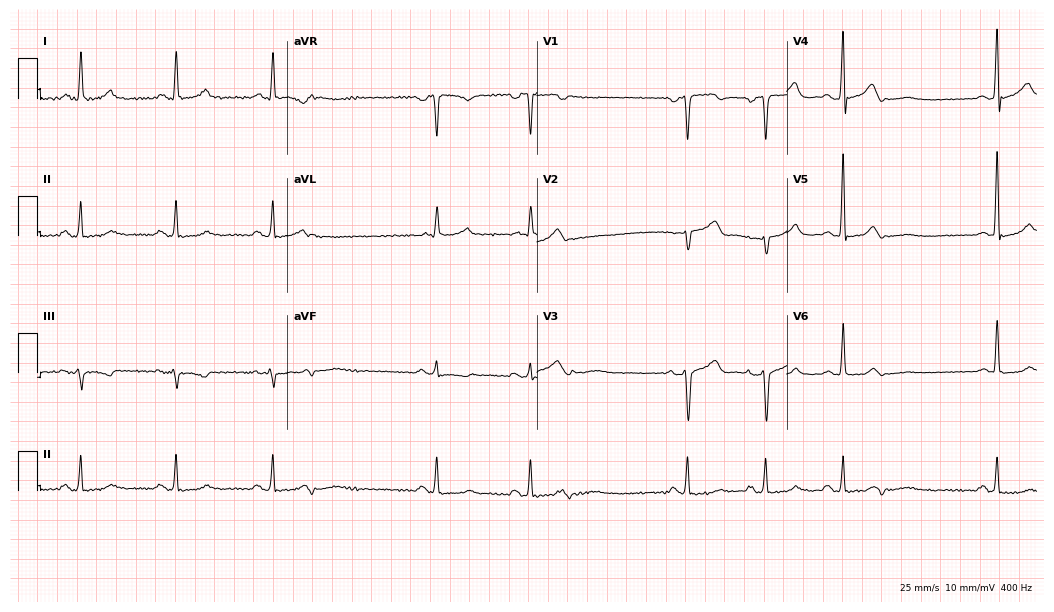
Standard 12-lead ECG recorded from a 59-year-old man (10.2-second recording at 400 Hz). None of these six findings is recorded: first-degree AV block, right bundle branch block (RBBB), left bundle branch block (LBBB), sinus bradycardia, atrial fibrillation (AF), sinus tachycardia. Other findings, if any, are not listed.